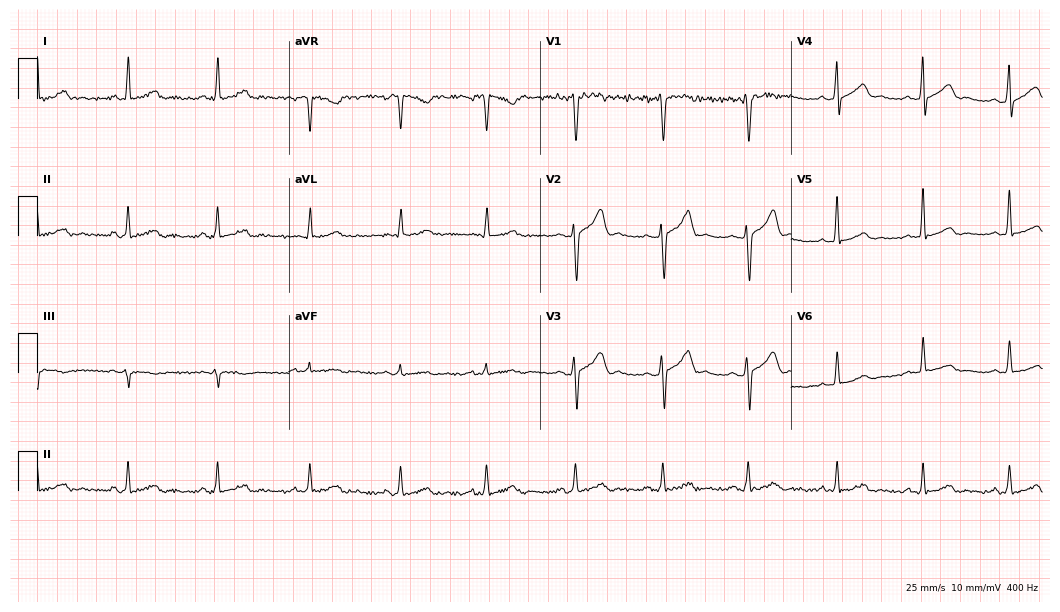
Electrocardiogram, a female patient, 22 years old. Of the six screened findings (first-degree AV block, right bundle branch block, left bundle branch block, sinus bradycardia, atrial fibrillation, sinus tachycardia), none is recorded. Findings outside these six are not listed.